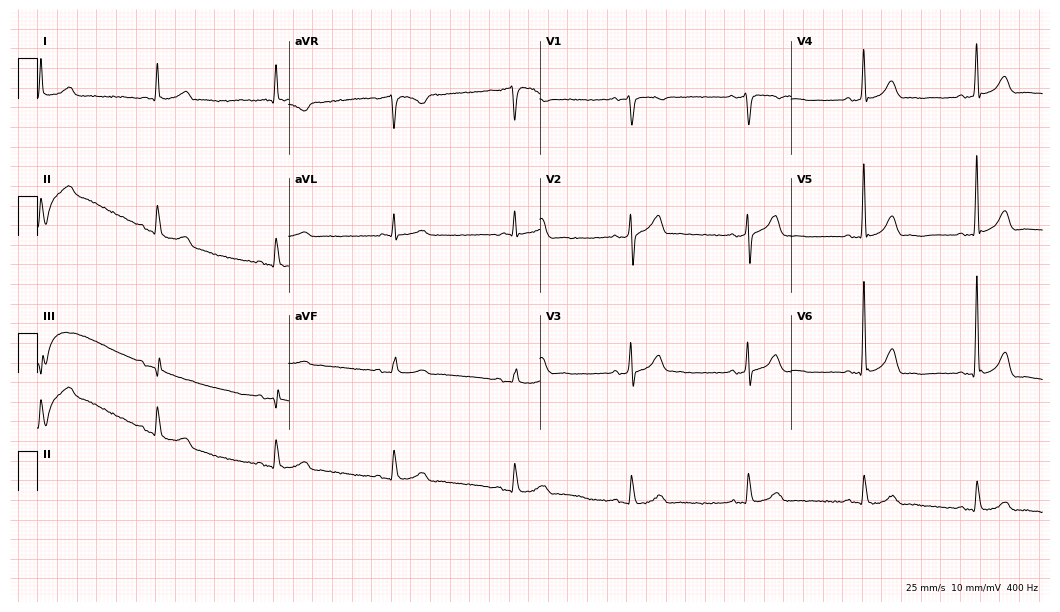
12-lead ECG from a 69-year-old male. Labelled as a normal ECG.